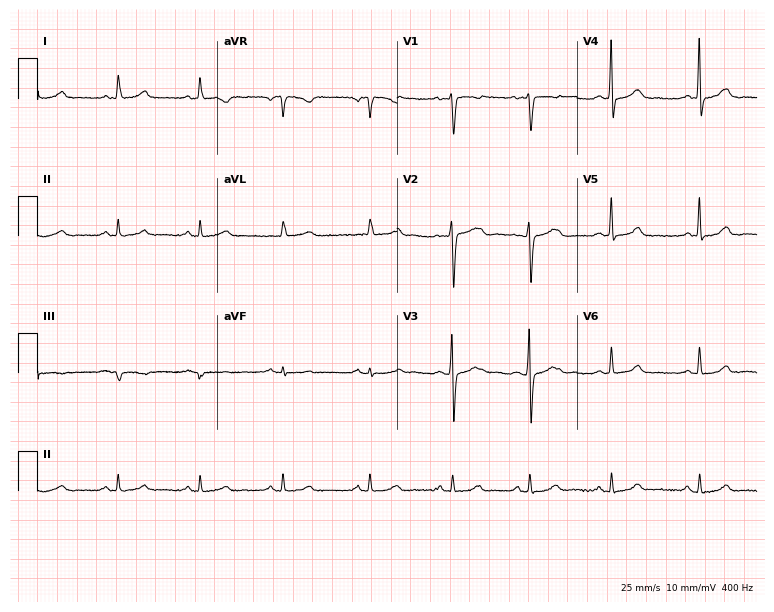
12-lead ECG from a female patient, 42 years old. Labelled as a normal ECG.